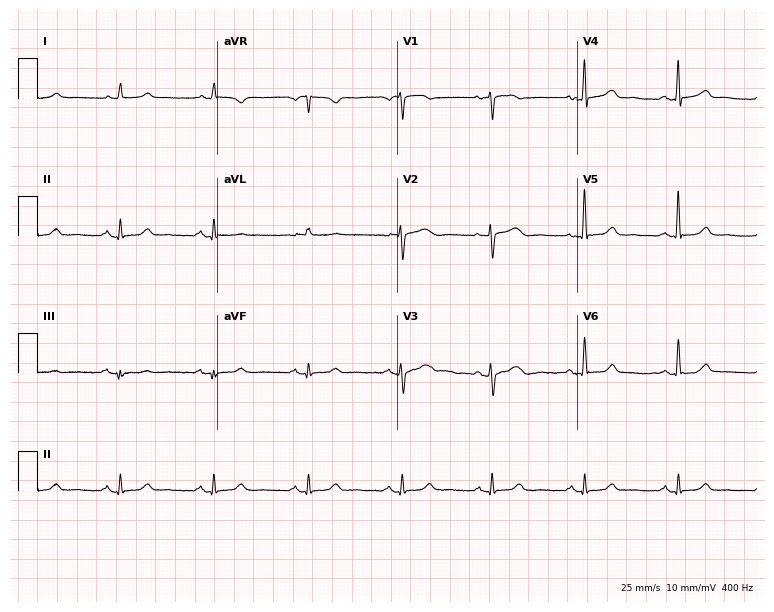
Electrocardiogram (7.3-second recording at 400 Hz), a 49-year-old female. Overall reading on record: normal ECG.